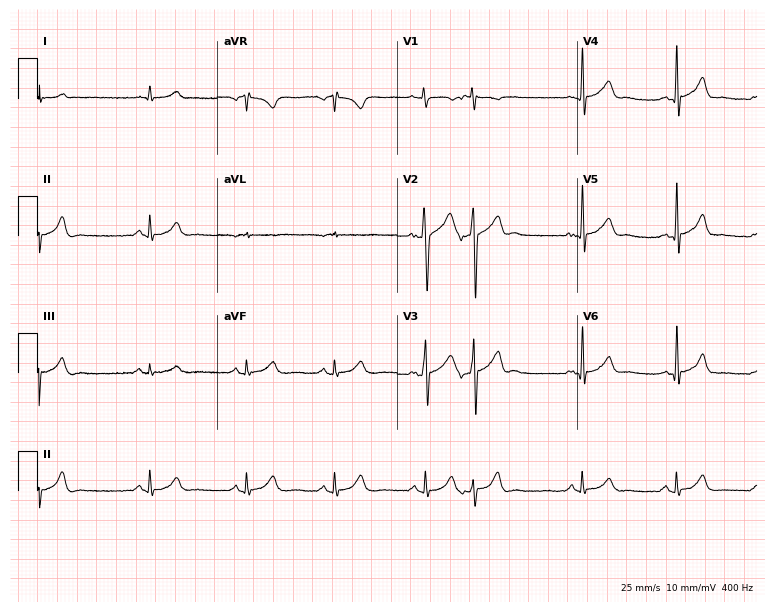
Standard 12-lead ECG recorded from a 68-year-old male patient. None of these six findings is recorded: first-degree AV block, right bundle branch block, left bundle branch block, sinus bradycardia, atrial fibrillation, sinus tachycardia.